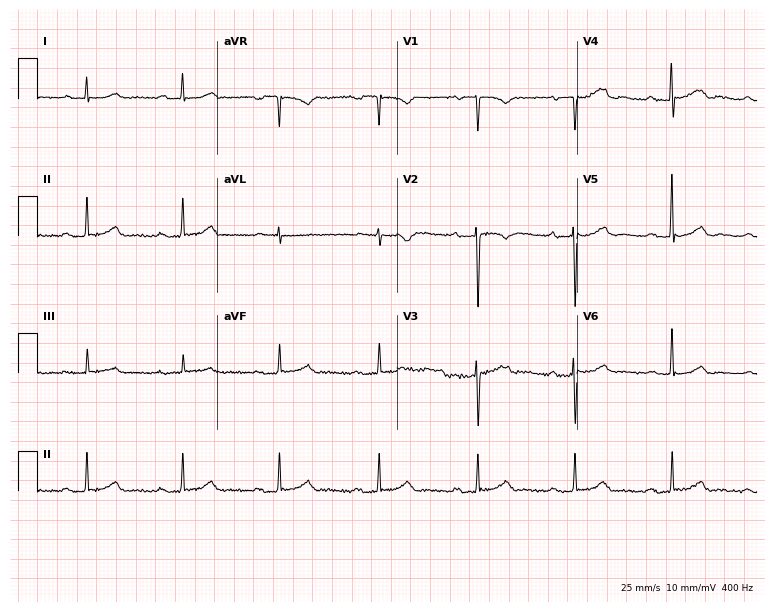
Electrocardiogram (7.3-second recording at 400 Hz), a man, 76 years old. Interpretation includes first-degree AV block.